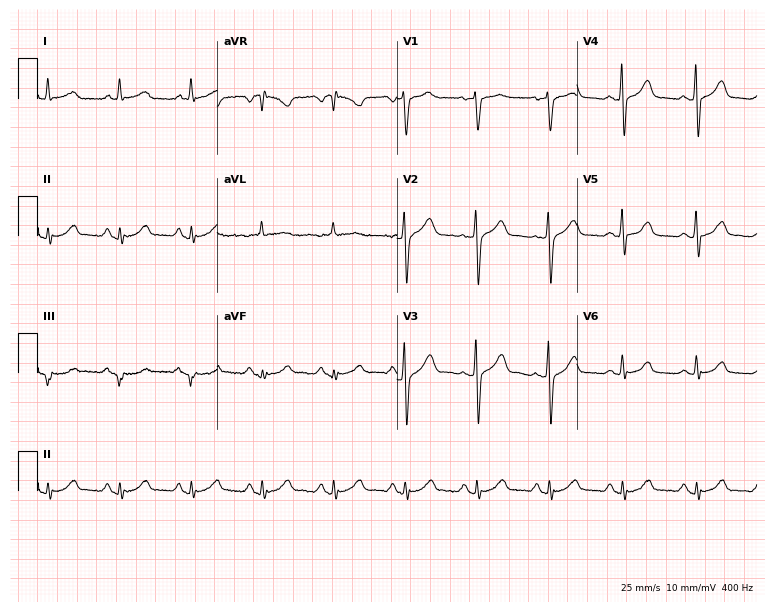
12-lead ECG from a 58-year-old woman. Labelled as a normal ECG.